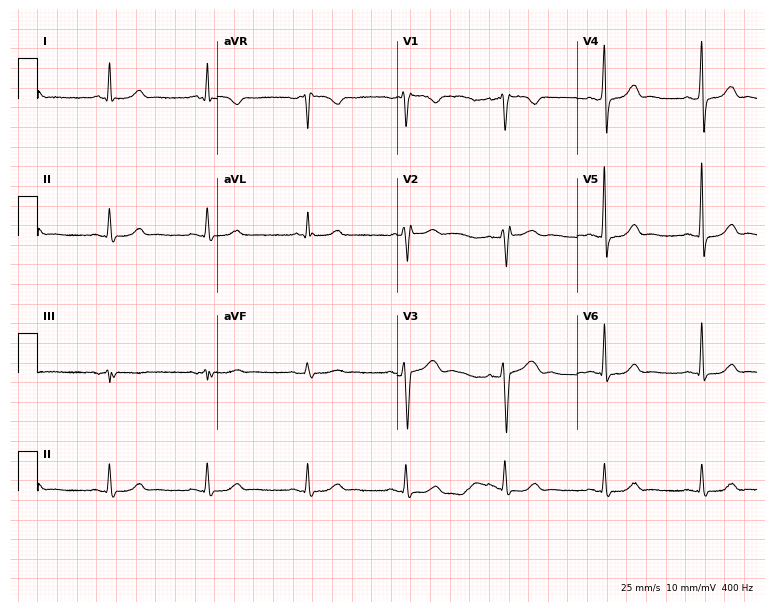
Electrocardiogram (7.3-second recording at 400 Hz), a 66-year-old woman. Overall reading on record: normal ECG.